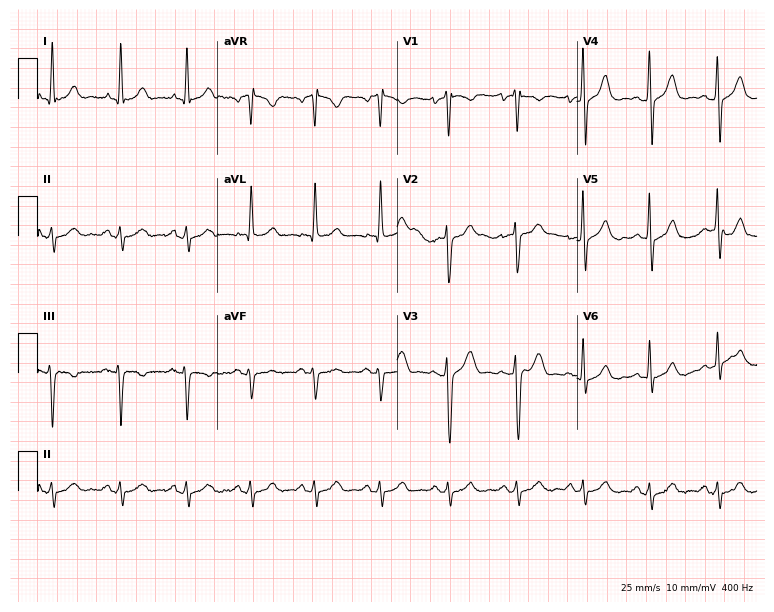
ECG — a 49-year-old male. Screened for six findings — first-degree AV block, right bundle branch block (RBBB), left bundle branch block (LBBB), sinus bradycardia, atrial fibrillation (AF), sinus tachycardia — none is recorded.